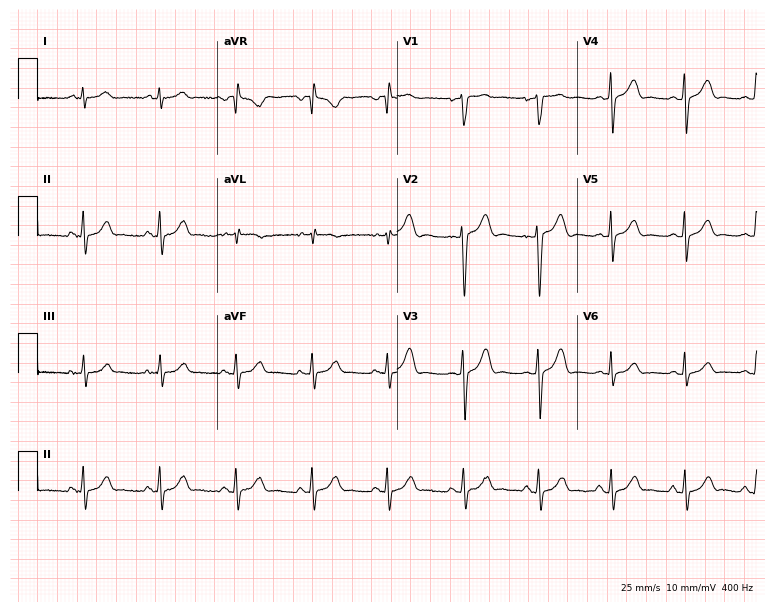
ECG — a female patient, 24 years old. Labelled as a normal ECG.